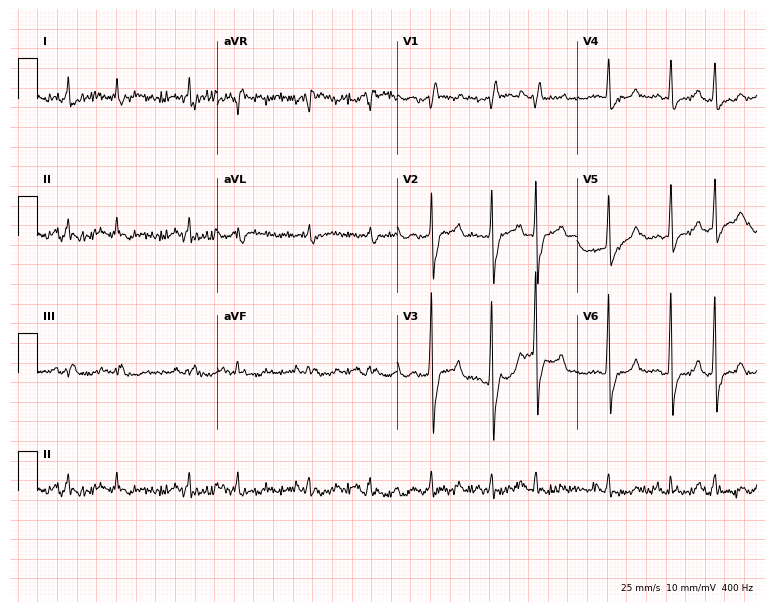
Electrocardiogram, a 69-year-old male patient. Of the six screened findings (first-degree AV block, right bundle branch block (RBBB), left bundle branch block (LBBB), sinus bradycardia, atrial fibrillation (AF), sinus tachycardia), none is recorded. Findings outside these six are not listed.